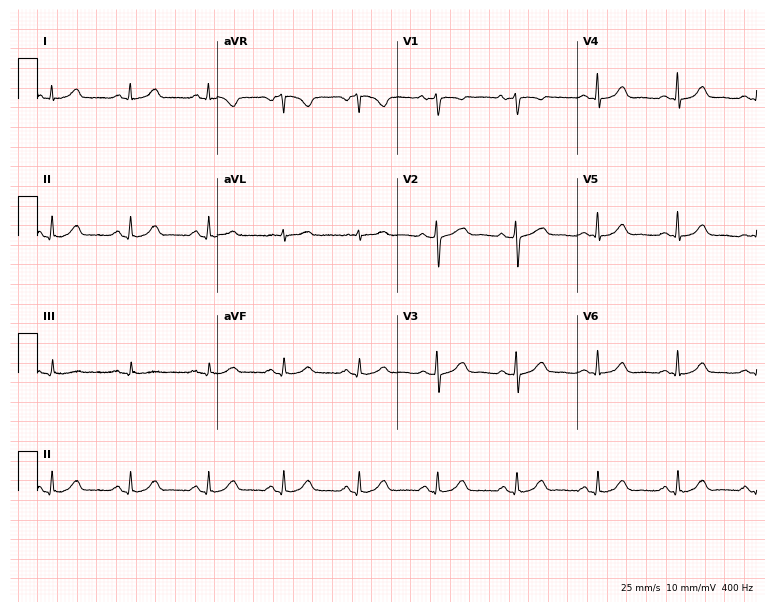
Resting 12-lead electrocardiogram. Patient: a woman, 30 years old. Read as a normal ECG.